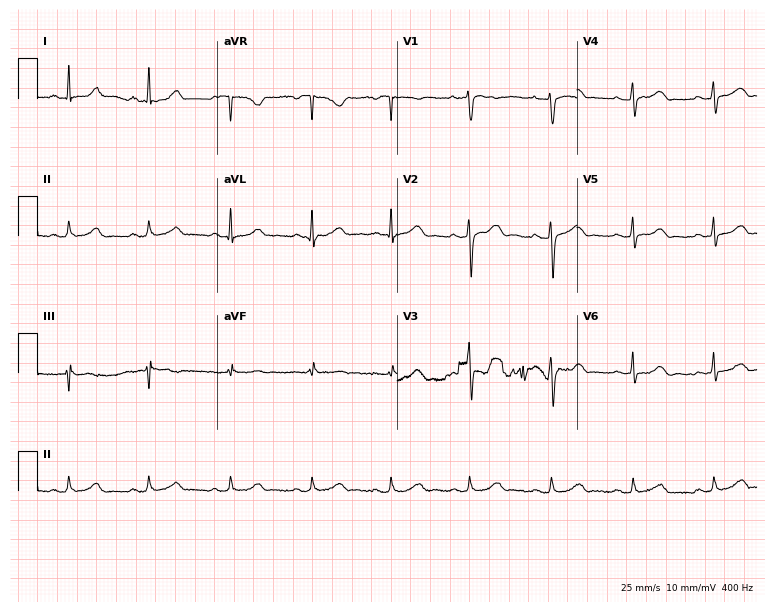
12-lead ECG (7.3-second recording at 400 Hz) from a woman, 40 years old. Screened for six findings — first-degree AV block, right bundle branch block, left bundle branch block, sinus bradycardia, atrial fibrillation, sinus tachycardia — none is recorded.